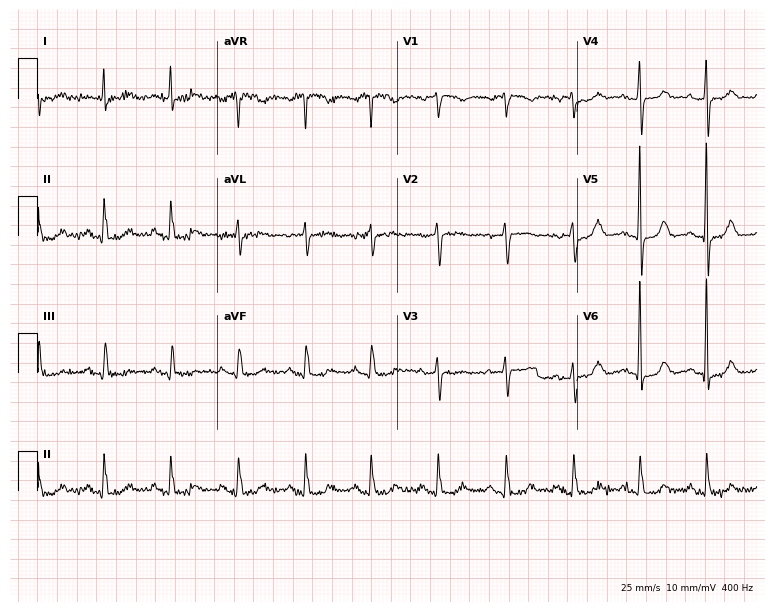
12-lead ECG from a 68-year-old female. Screened for six findings — first-degree AV block, right bundle branch block, left bundle branch block, sinus bradycardia, atrial fibrillation, sinus tachycardia — none is recorded.